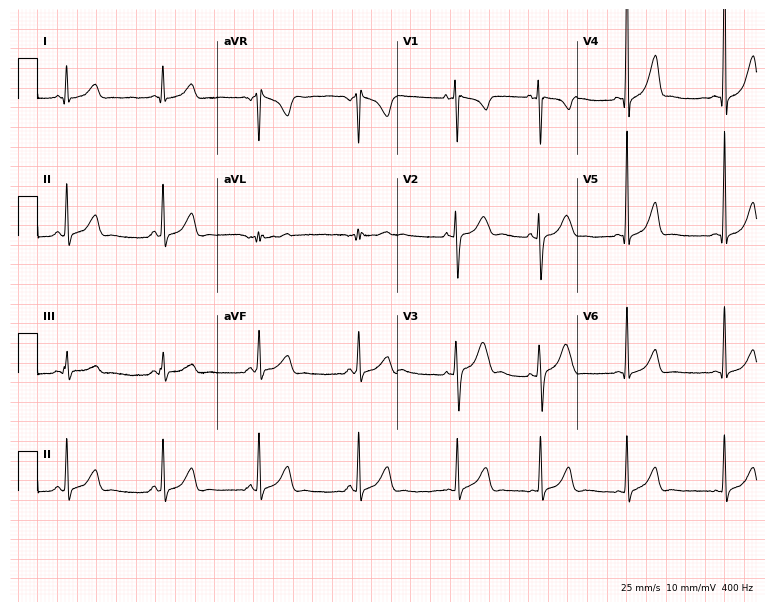
12-lead ECG (7.3-second recording at 400 Hz) from a male, 17 years old. Labelled as a normal ECG.